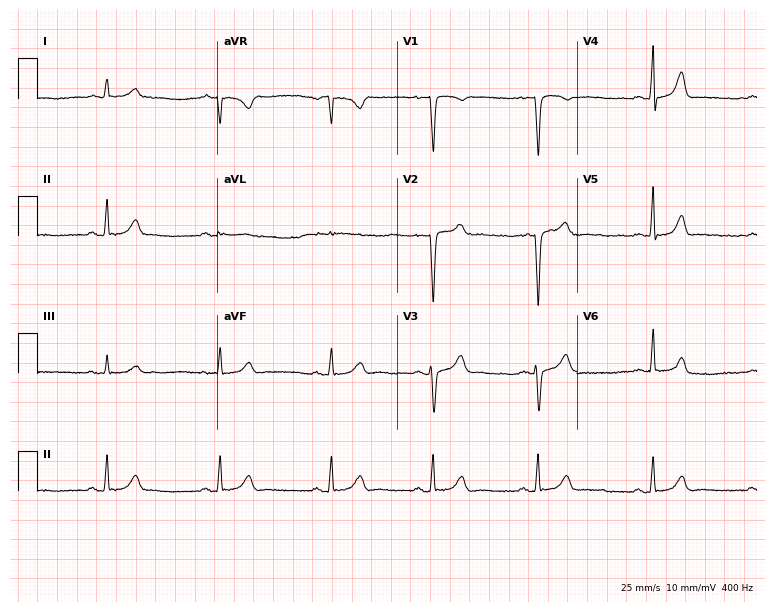
12-lead ECG from a female patient, 29 years old (7.3-second recording at 400 Hz). No first-degree AV block, right bundle branch block (RBBB), left bundle branch block (LBBB), sinus bradycardia, atrial fibrillation (AF) or sinus tachycardia recorded for this tracing.